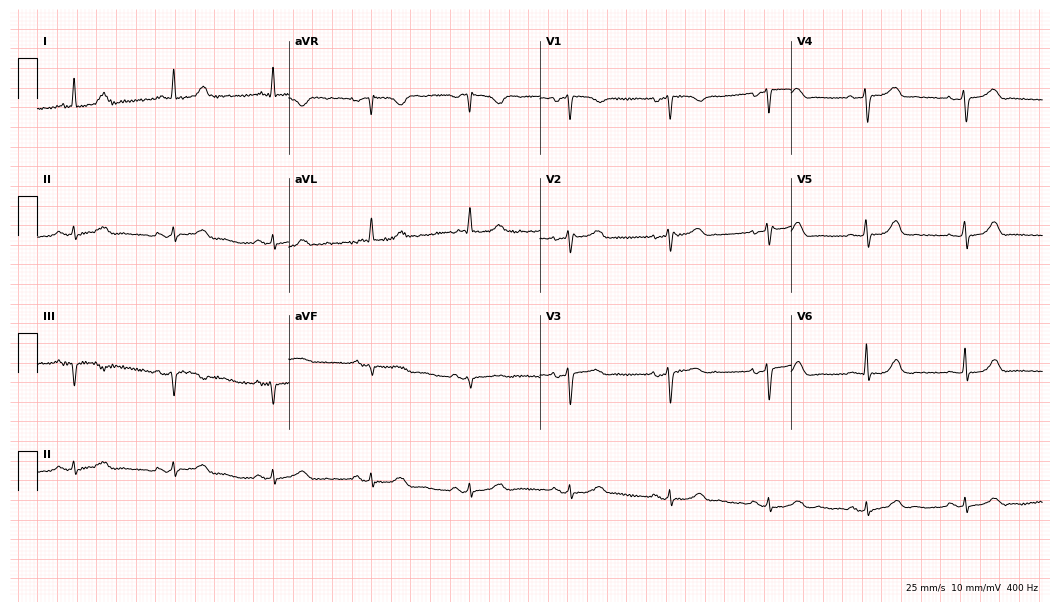
12-lead ECG (10.2-second recording at 400 Hz) from a female, 75 years old. Labelled as a normal ECG.